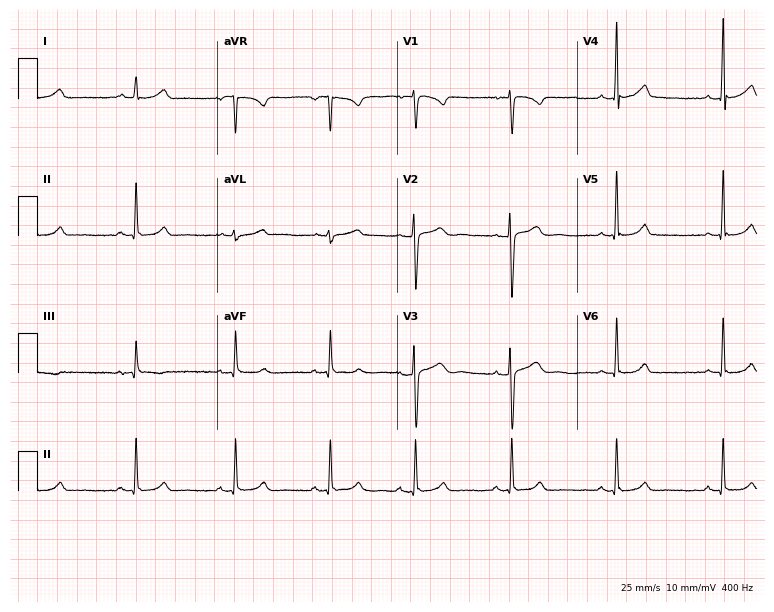
Electrocardiogram (7.3-second recording at 400 Hz), a 22-year-old female patient. Overall reading on record: normal ECG.